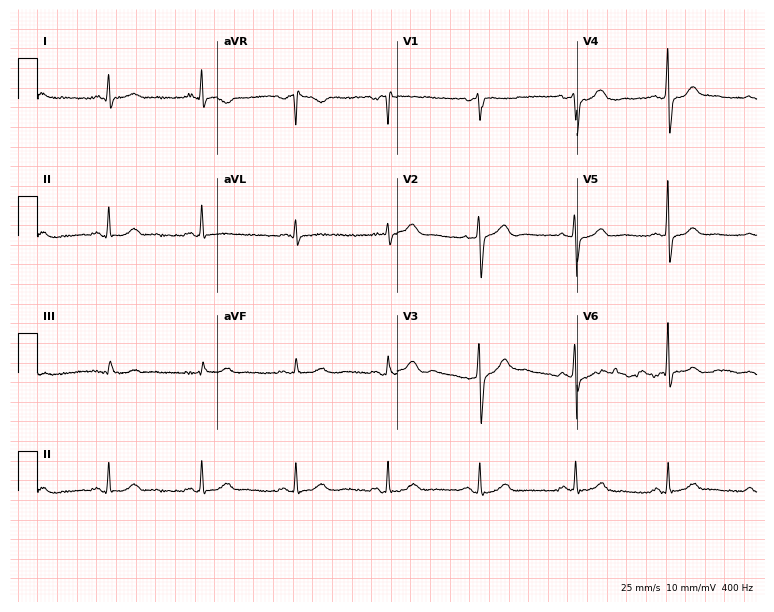
Standard 12-lead ECG recorded from a 60-year-old female (7.3-second recording at 400 Hz). None of these six findings is recorded: first-degree AV block, right bundle branch block, left bundle branch block, sinus bradycardia, atrial fibrillation, sinus tachycardia.